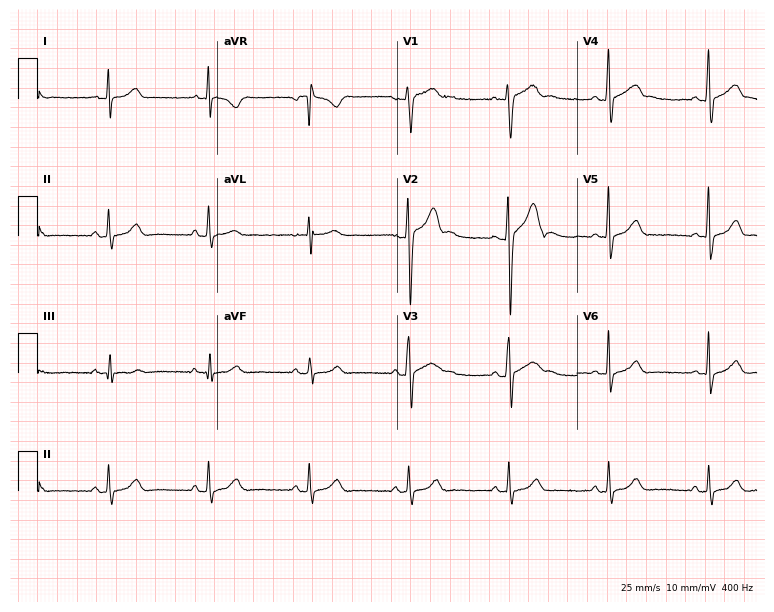
Electrocardiogram, a male, 20 years old. Overall reading on record: normal ECG.